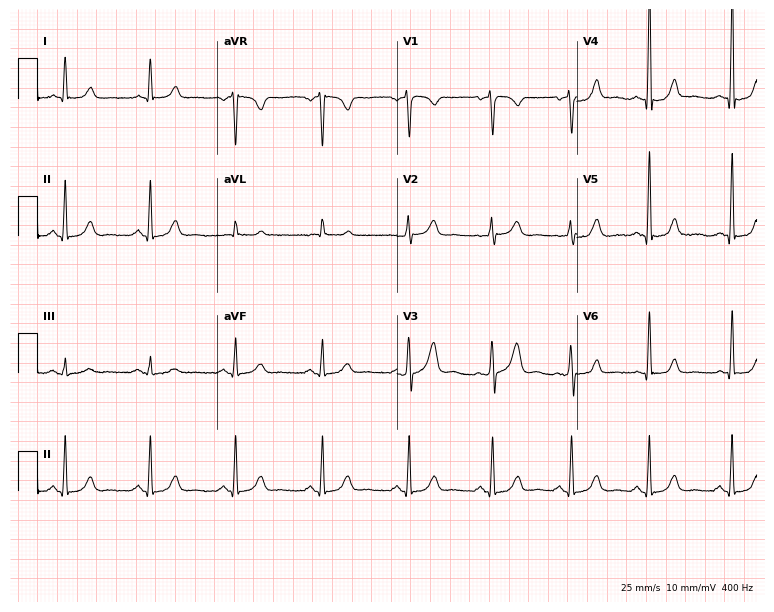
Electrocardiogram, a woman, 62 years old. Overall reading on record: normal ECG.